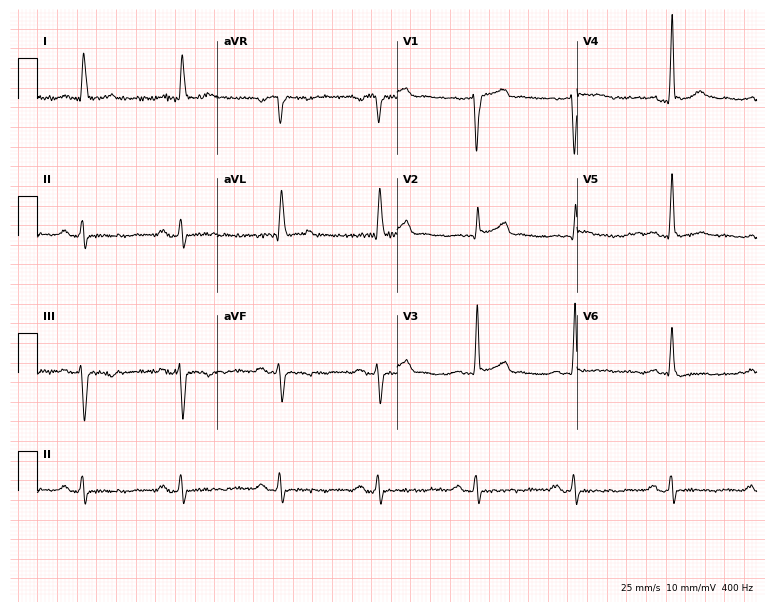
Standard 12-lead ECG recorded from a 60-year-old male (7.3-second recording at 400 Hz). None of these six findings is recorded: first-degree AV block, right bundle branch block, left bundle branch block, sinus bradycardia, atrial fibrillation, sinus tachycardia.